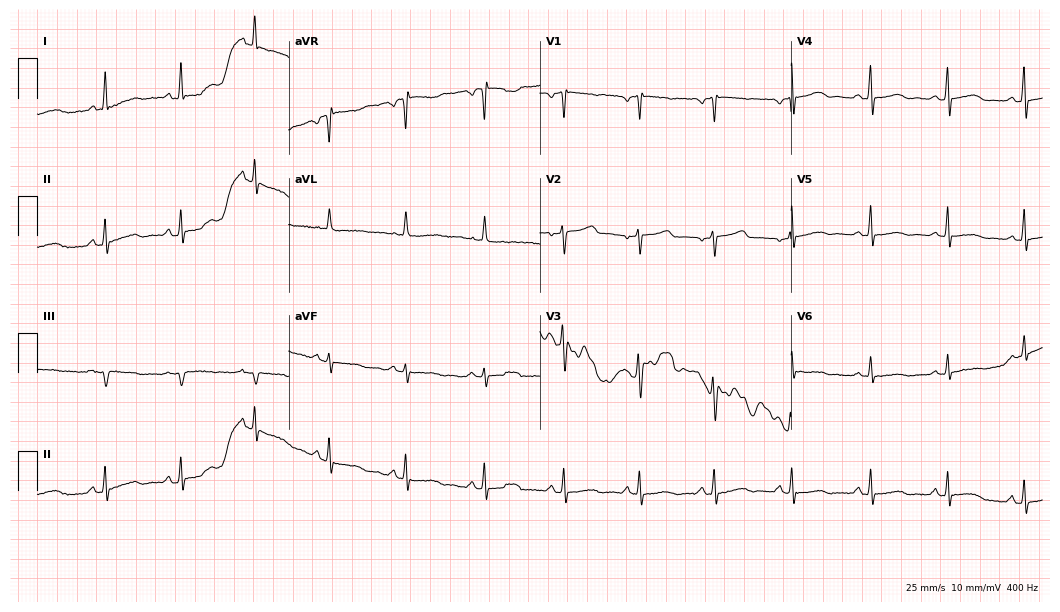
Standard 12-lead ECG recorded from a female, 47 years old. Read as a normal ECG.